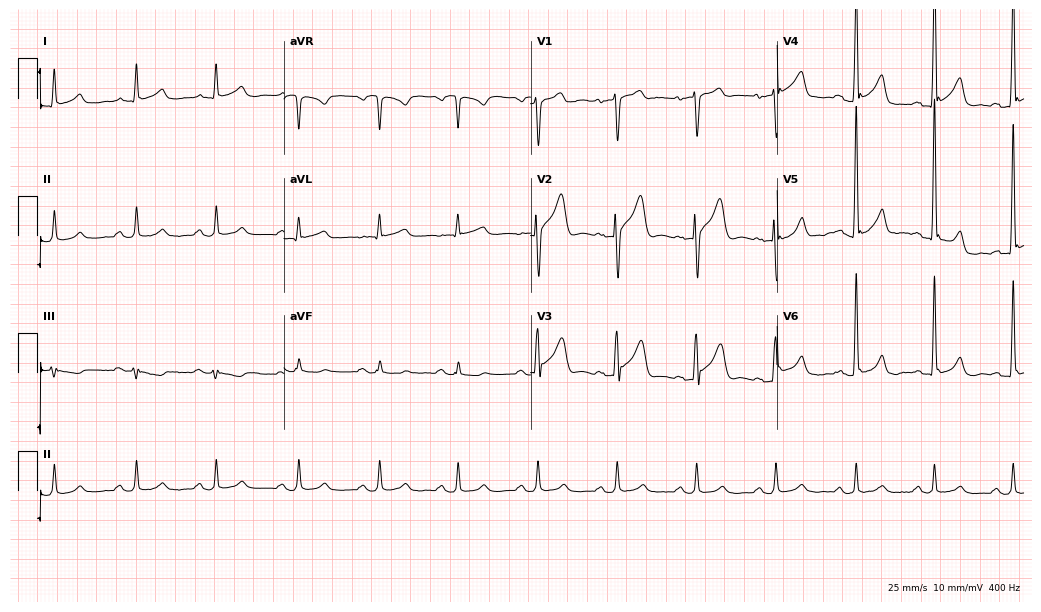
12-lead ECG from a male, 45 years old (10.1-second recording at 400 Hz). No first-degree AV block, right bundle branch block (RBBB), left bundle branch block (LBBB), sinus bradycardia, atrial fibrillation (AF) or sinus tachycardia recorded for this tracing.